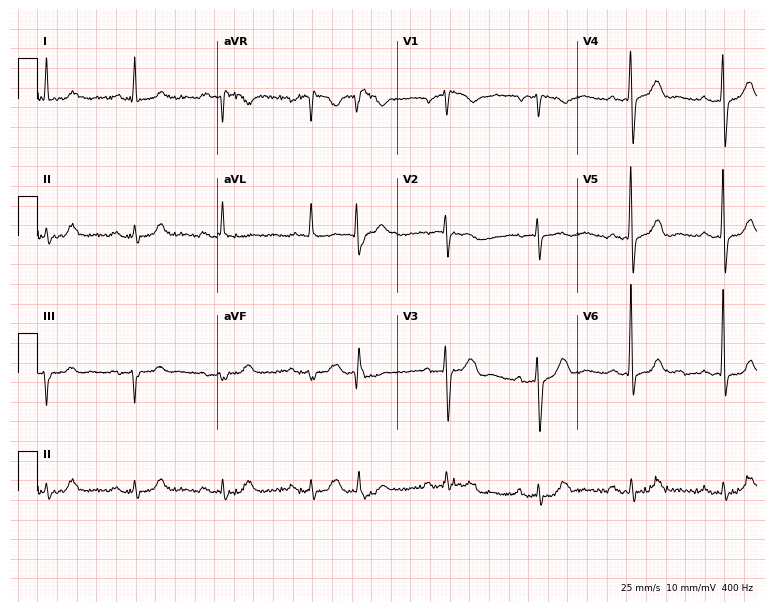
Electrocardiogram, a man, 78 years old. Interpretation includes first-degree AV block.